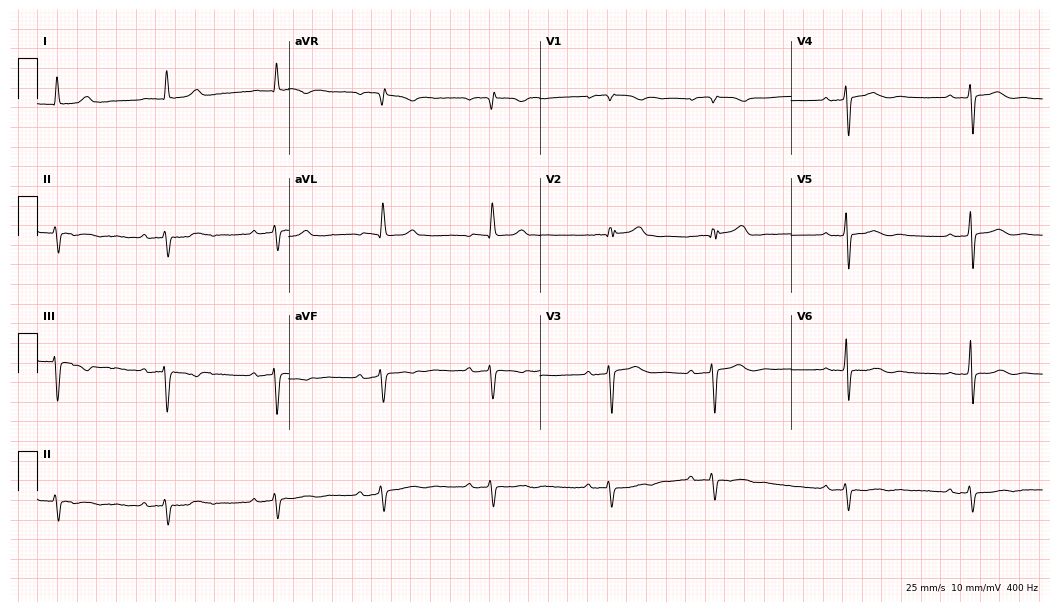
Electrocardiogram (10.2-second recording at 400 Hz), an 84-year-old female patient. Interpretation includes first-degree AV block.